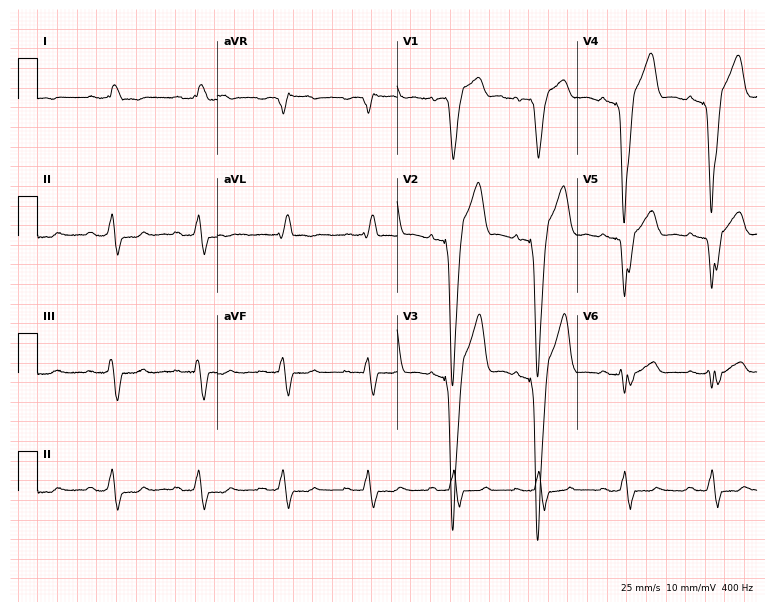
Electrocardiogram, a man, 61 years old. Of the six screened findings (first-degree AV block, right bundle branch block, left bundle branch block, sinus bradycardia, atrial fibrillation, sinus tachycardia), none is recorded. Only these six findings were labelled.